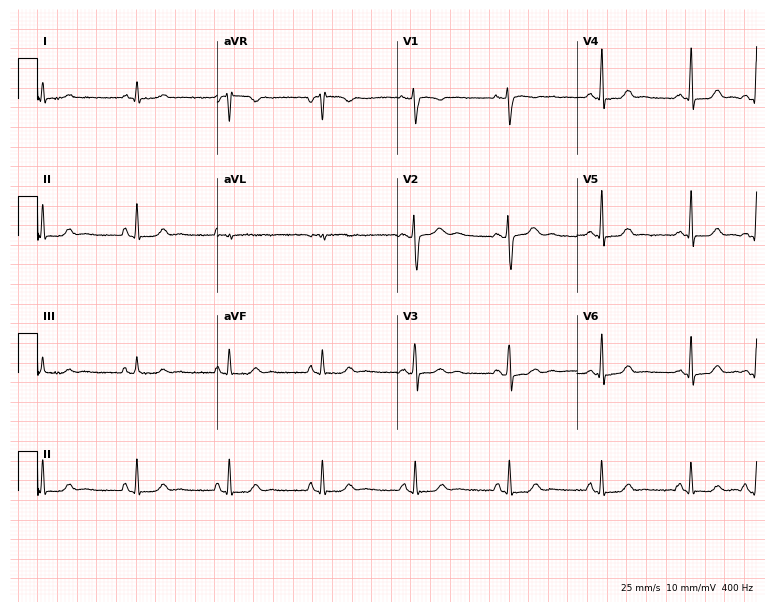
Electrocardiogram (7.3-second recording at 400 Hz), a female patient, 18 years old. Of the six screened findings (first-degree AV block, right bundle branch block, left bundle branch block, sinus bradycardia, atrial fibrillation, sinus tachycardia), none is recorded. Only these six findings were labelled.